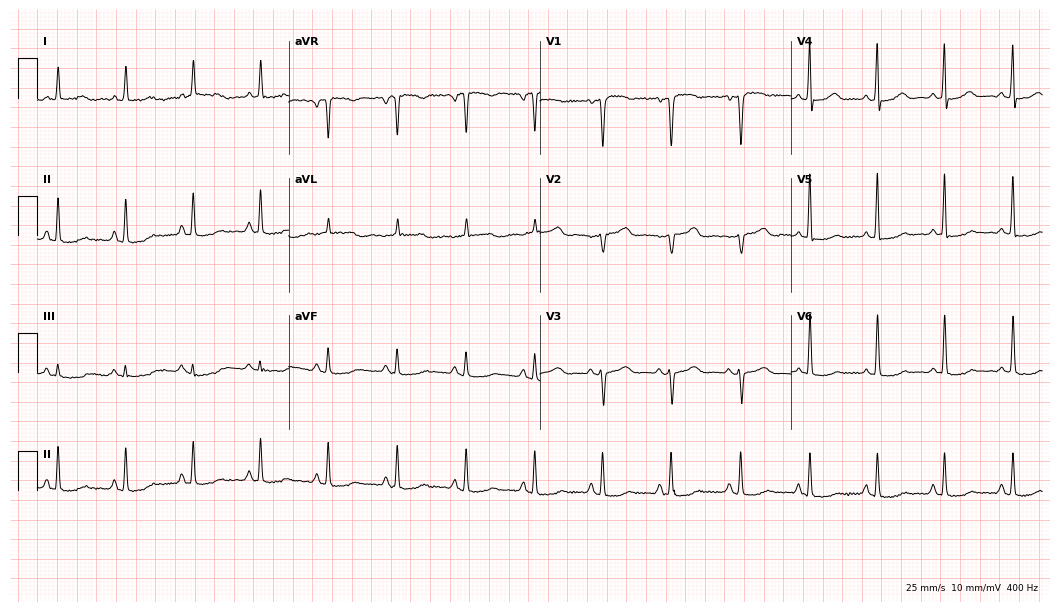
12-lead ECG from a 69-year-old woman. No first-degree AV block, right bundle branch block, left bundle branch block, sinus bradycardia, atrial fibrillation or sinus tachycardia recorded for this tracing.